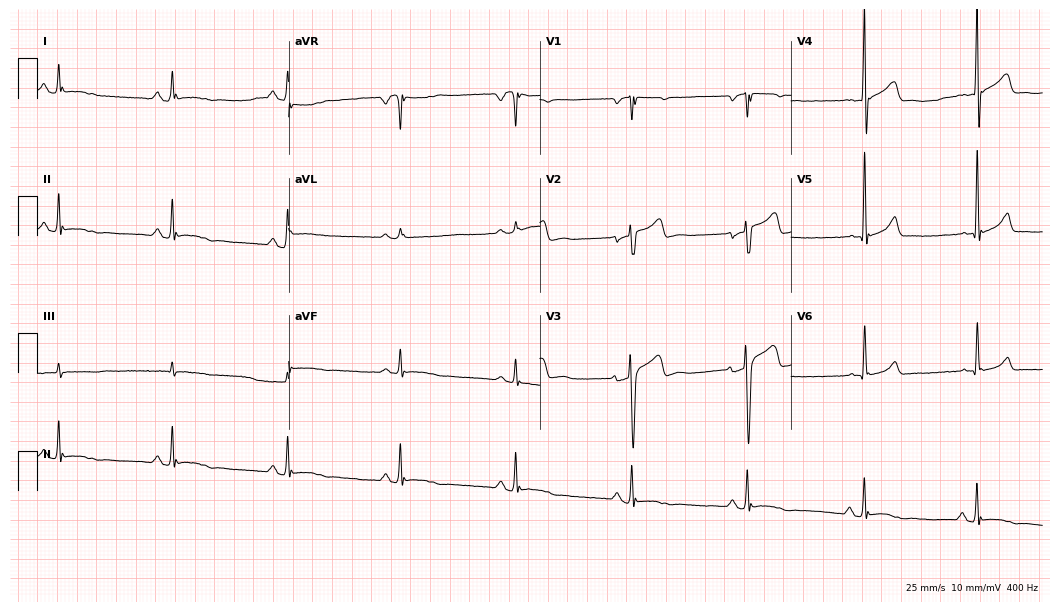
ECG — a male patient, 45 years old. Screened for six findings — first-degree AV block, right bundle branch block, left bundle branch block, sinus bradycardia, atrial fibrillation, sinus tachycardia — none is recorded. Other findings, if any, are not listed.